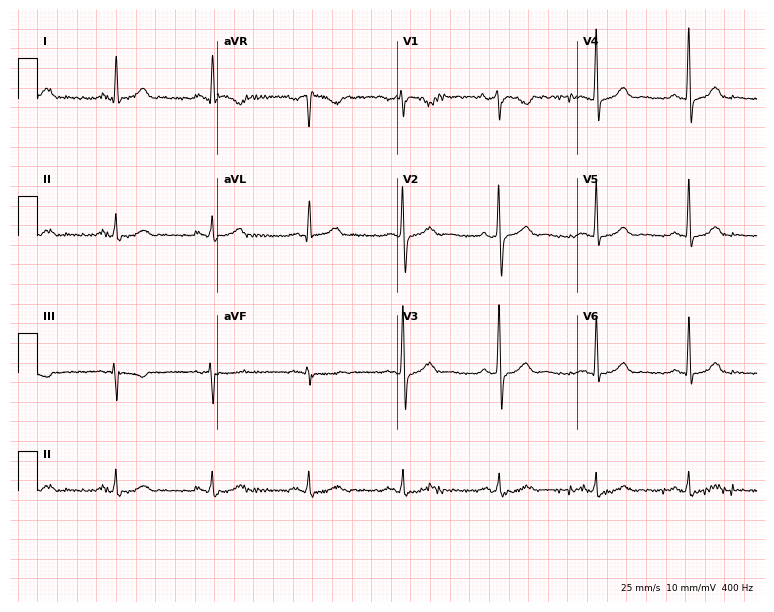
12-lead ECG from a male, 52 years old (7.3-second recording at 400 Hz). No first-degree AV block, right bundle branch block, left bundle branch block, sinus bradycardia, atrial fibrillation or sinus tachycardia recorded for this tracing. Other findings, if any, are not listed.